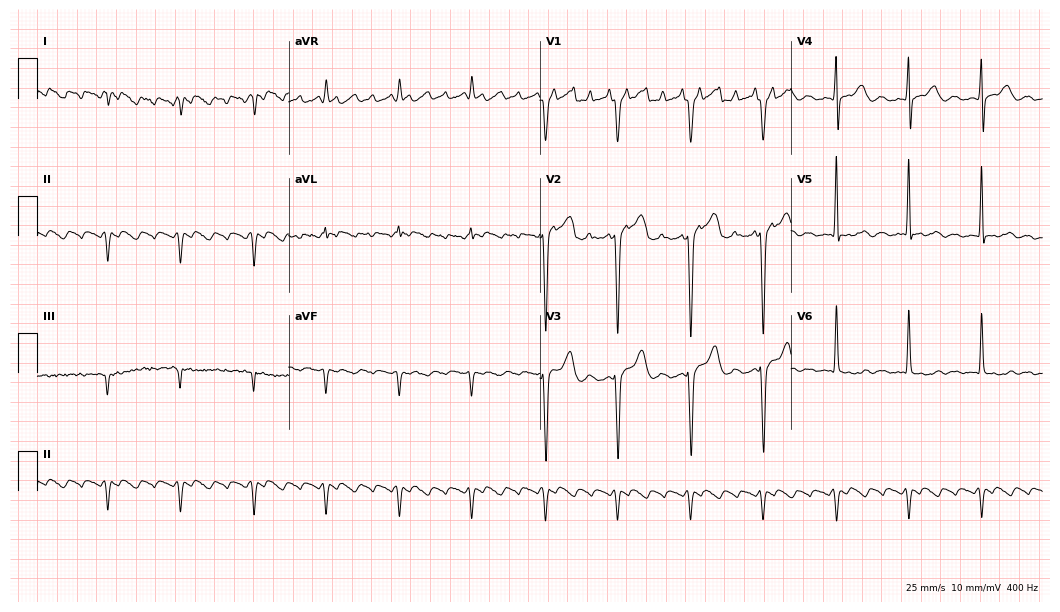
Electrocardiogram, a 77-year-old man. Of the six screened findings (first-degree AV block, right bundle branch block (RBBB), left bundle branch block (LBBB), sinus bradycardia, atrial fibrillation (AF), sinus tachycardia), none is recorded. Only these six findings were labelled.